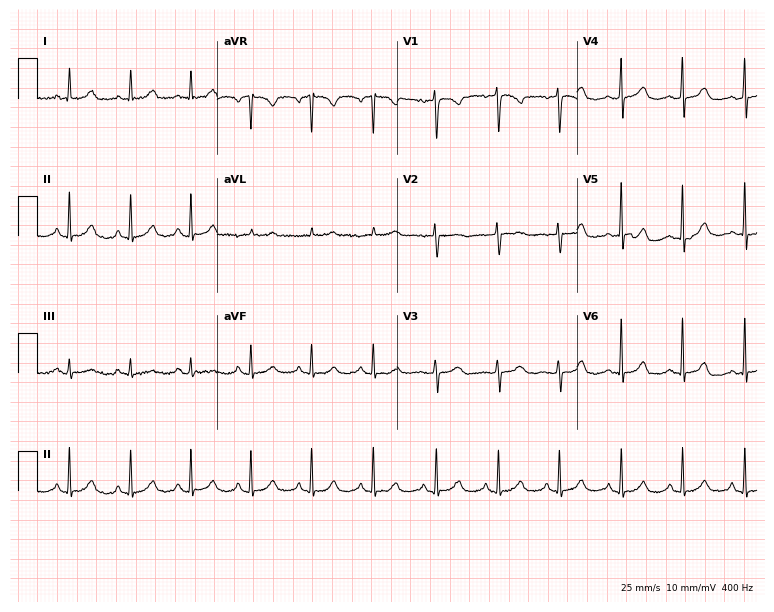
ECG (7.3-second recording at 400 Hz) — a 50-year-old female patient. Screened for six findings — first-degree AV block, right bundle branch block, left bundle branch block, sinus bradycardia, atrial fibrillation, sinus tachycardia — none is recorded.